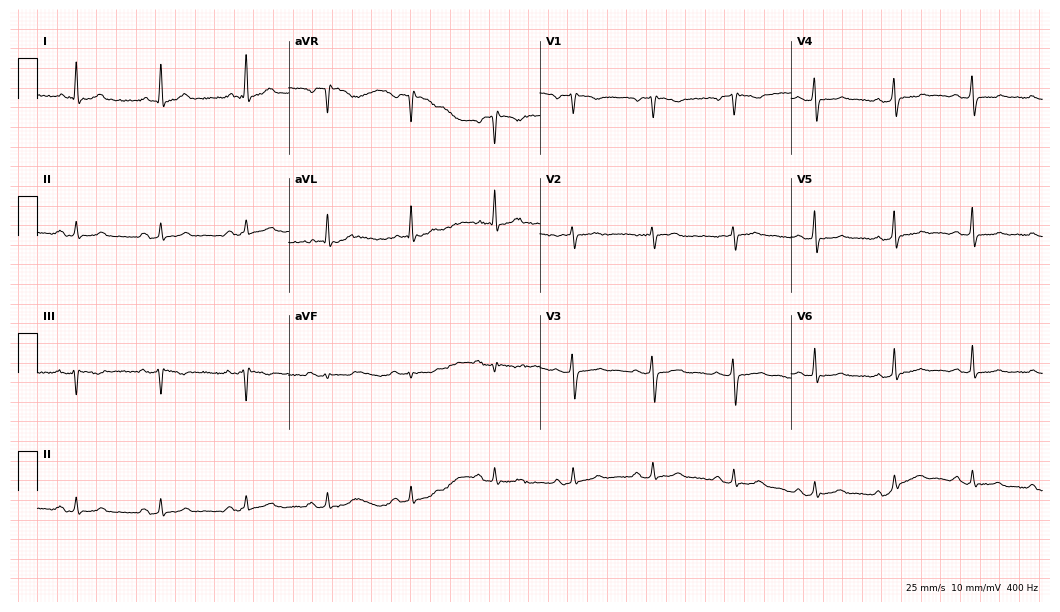
Resting 12-lead electrocardiogram. Patient: a 49-year-old female. Read as a normal ECG.